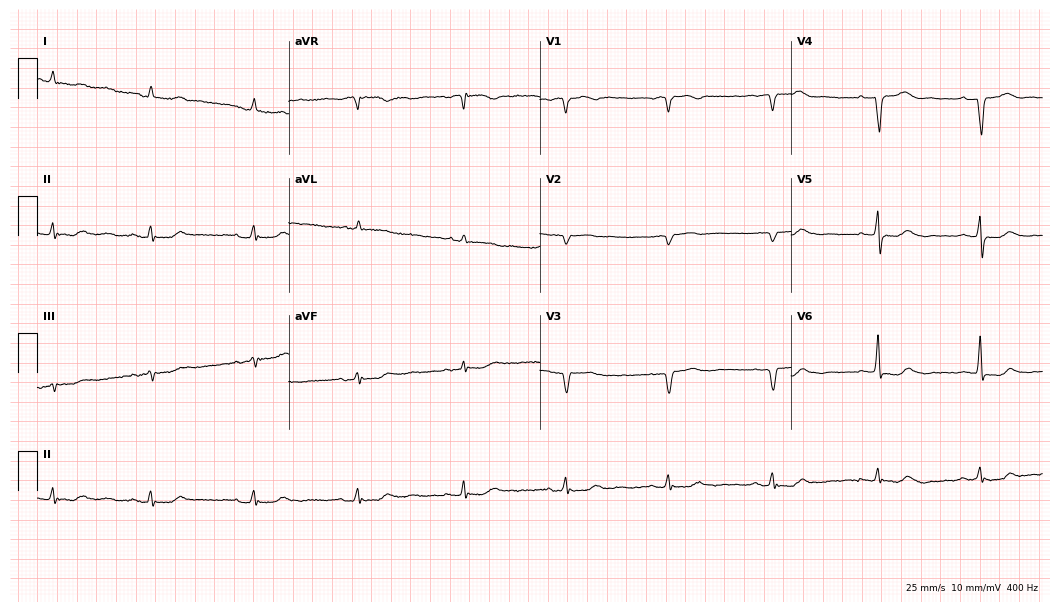
12-lead ECG from an 81-year-old man. No first-degree AV block, right bundle branch block, left bundle branch block, sinus bradycardia, atrial fibrillation or sinus tachycardia recorded for this tracing. Other findings, if any, are not listed.